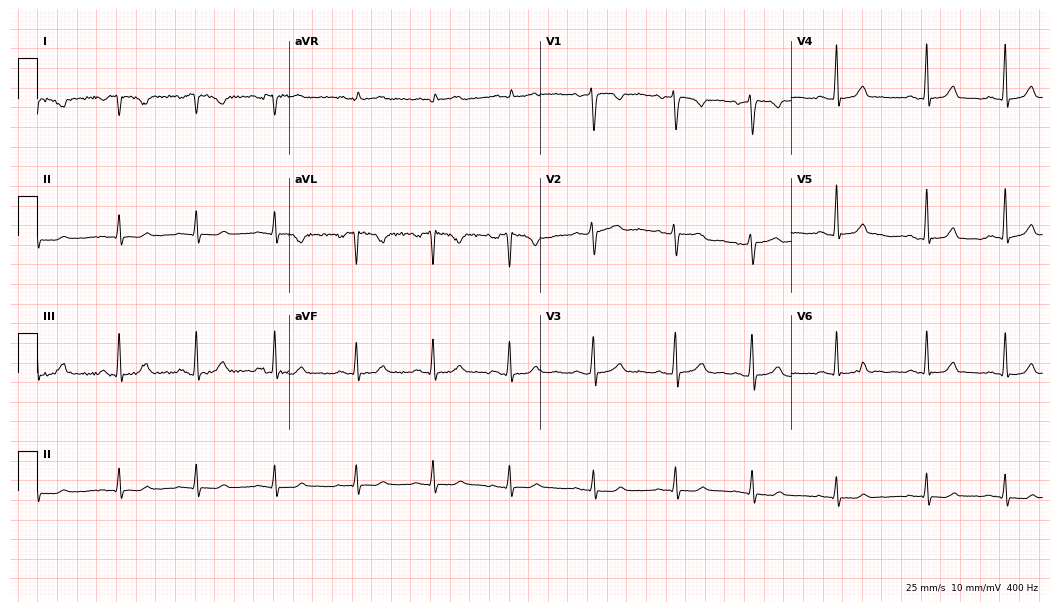
Resting 12-lead electrocardiogram (10.2-second recording at 400 Hz). Patient: a female, 31 years old. None of these six findings is recorded: first-degree AV block, right bundle branch block, left bundle branch block, sinus bradycardia, atrial fibrillation, sinus tachycardia. Findings outside these six are not listed.